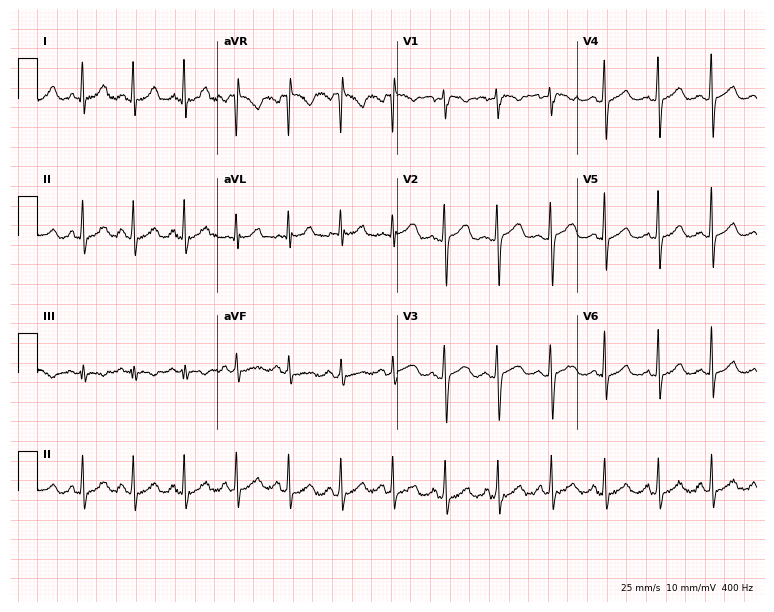
12-lead ECG from a female, 31 years old. Shows sinus tachycardia (a sinus rate of 100 beats per minute or more).